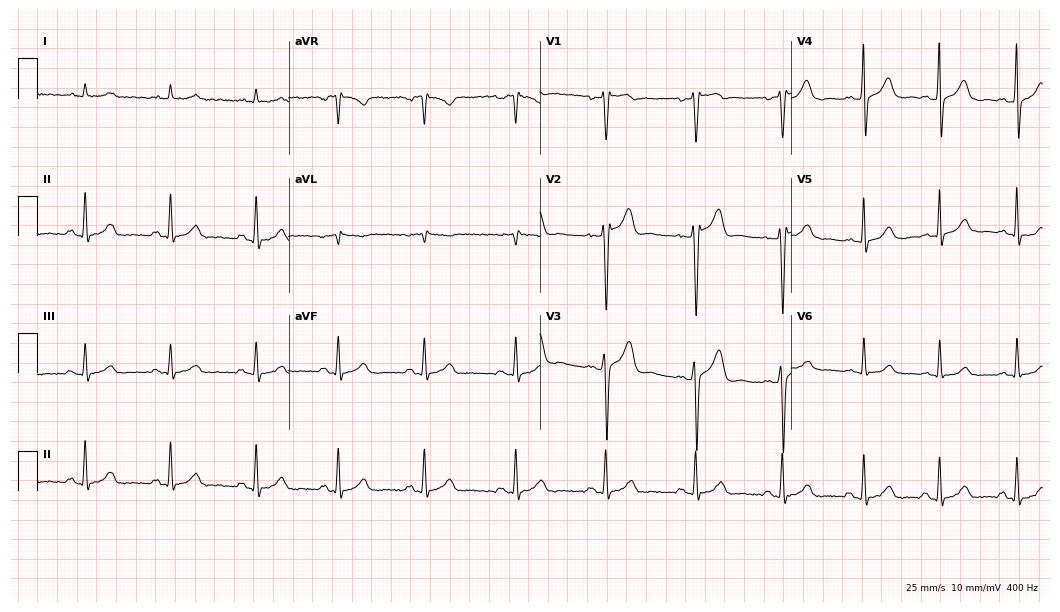
12-lead ECG from a 31-year-old man. No first-degree AV block, right bundle branch block, left bundle branch block, sinus bradycardia, atrial fibrillation or sinus tachycardia recorded for this tracing. Other findings, if any, are not listed.